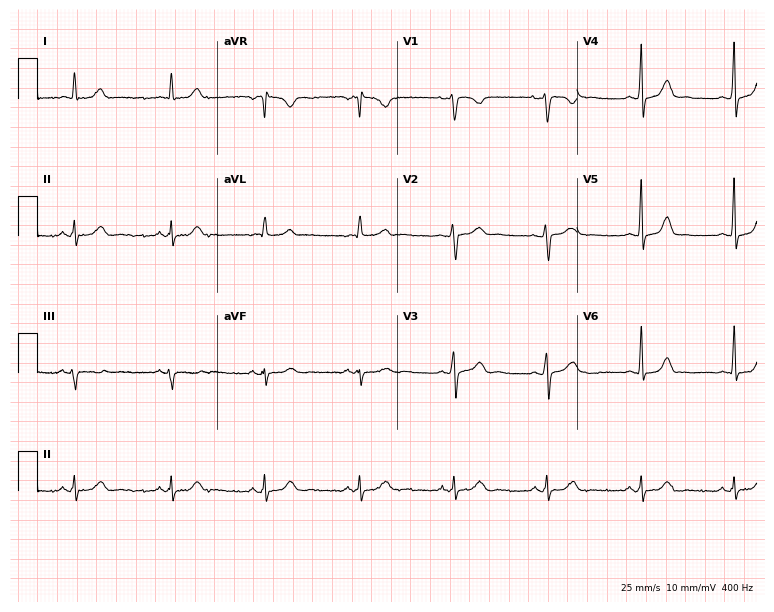
Standard 12-lead ECG recorded from a female, 54 years old (7.3-second recording at 400 Hz). Read as a normal ECG.